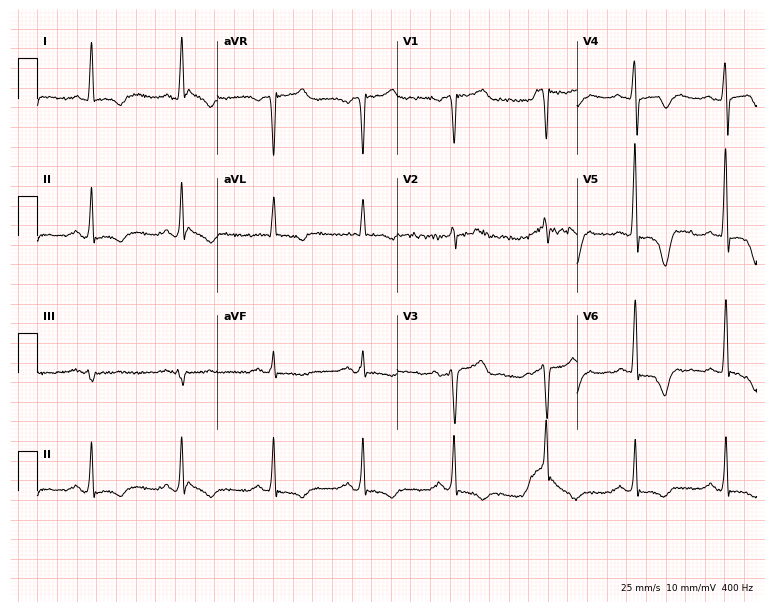
12-lead ECG (7.3-second recording at 400 Hz) from a male, 57 years old. Screened for six findings — first-degree AV block, right bundle branch block (RBBB), left bundle branch block (LBBB), sinus bradycardia, atrial fibrillation (AF), sinus tachycardia — none is recorded. Other findings, if any, are not listed.